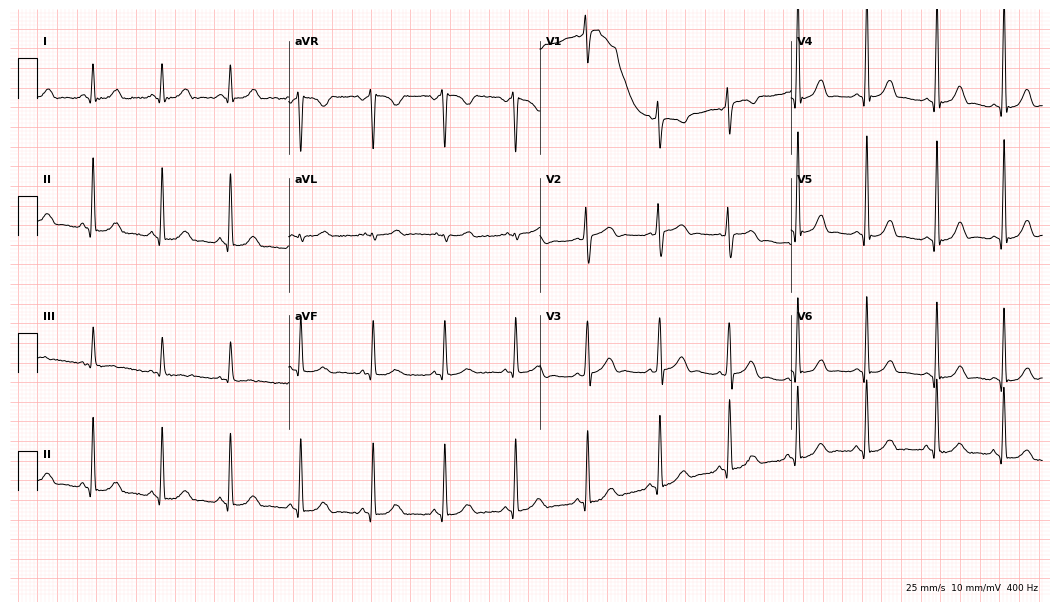
Resting 12-lead electrocardiogram. Patient: a 32-year-old female. Read as a normal ECG.